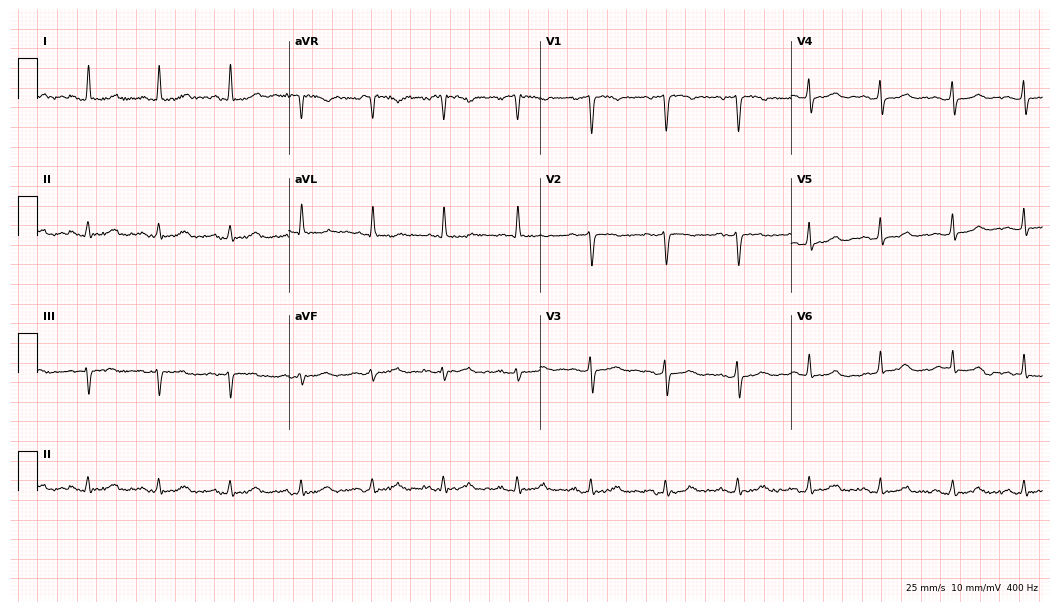
12-lead ECG (10.2-second recording at 400 Hz) from a woman, 64 years old. Labelled as a normal ECG.